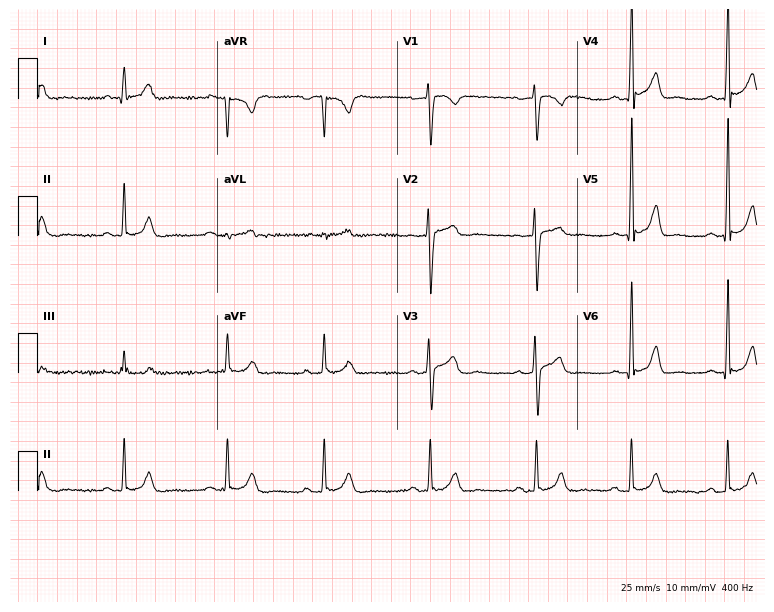
ECG — a man, 23 years old. Screened for six findings — first-degree AV block, right bundle branch block (RBBB), left bundle branch block (LBBB), sinus bradycardia, atrial fibrillation (AF), sinus tachycardia — none is recorded.